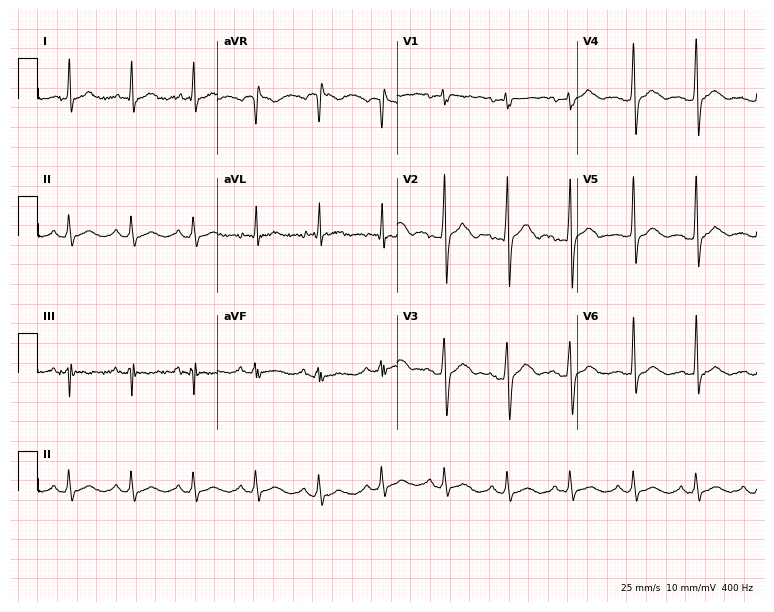
Electrocardiogram, a man, 42 years old. Overall reading on record: normal ECG.